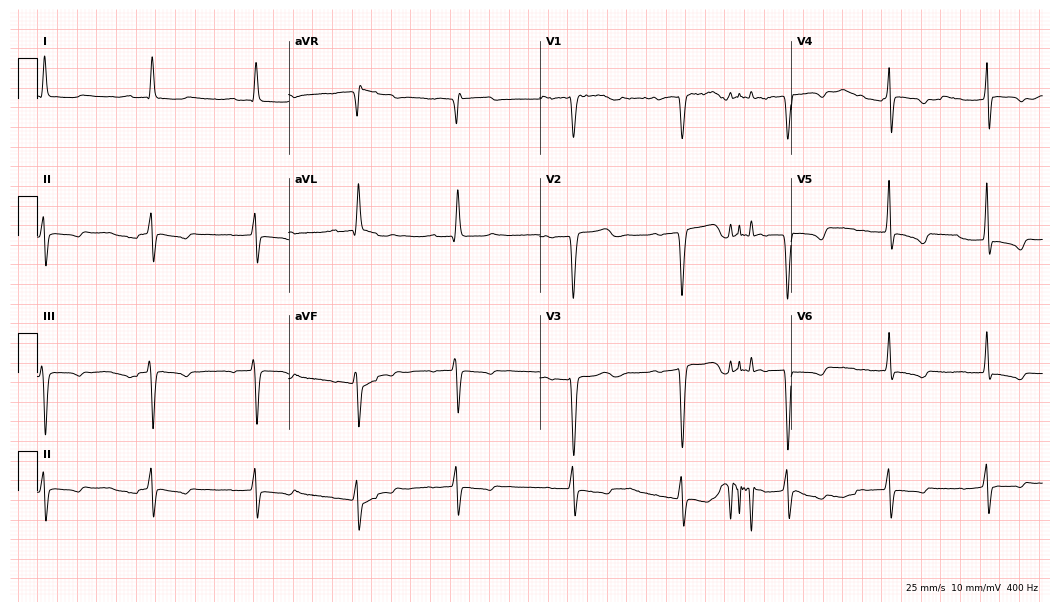
Electrocardiogram (10.2-second recording at 400 Hz), a female patient, 81 years old. Interpretation includes first-degree AV block.